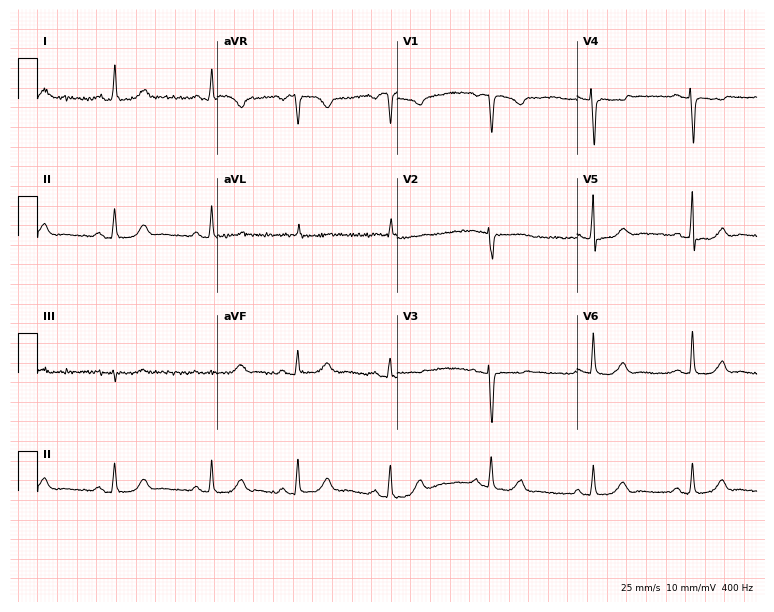
Resting 12-lead electrocardiogram. Patient: a female, 58 years old. None of these six findings is recorded: first-degree AV block, right bundle branch block, left bundle branch block, sinus bradycardia, atrial fibrillation, sinus tachycardia. Only these six findings were labelled.